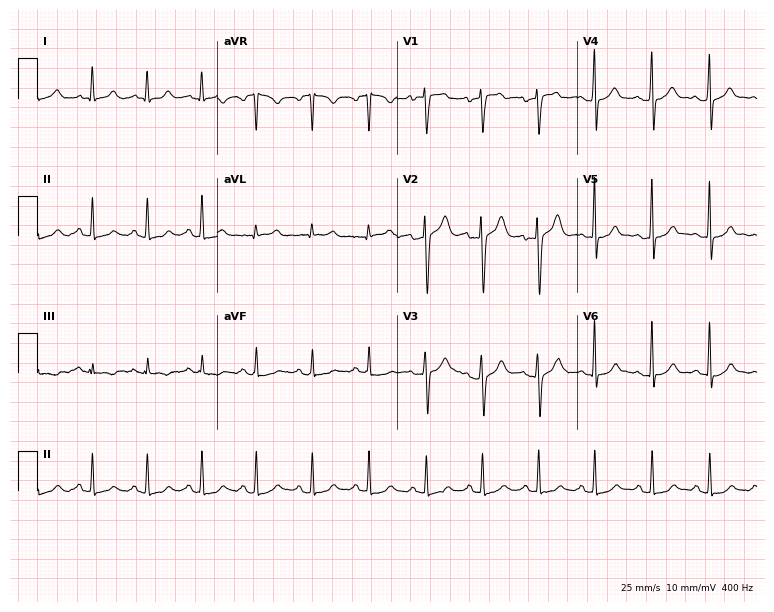
Standard 12-lead ECG recorded from a woman, 26 years old. The tracing shows sinus tachycardia (a sinus rate of 100 beats per minute or more).